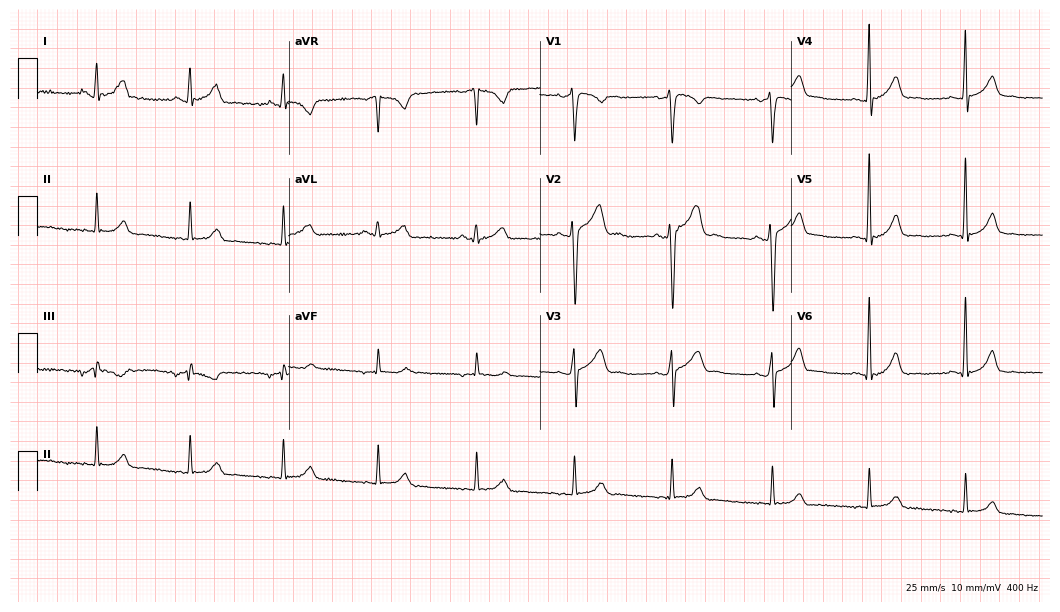
12-lead ECG from a male, 35 years old (10.2-second recording at 400 Hz). Recorded interpretation: within normal limits.